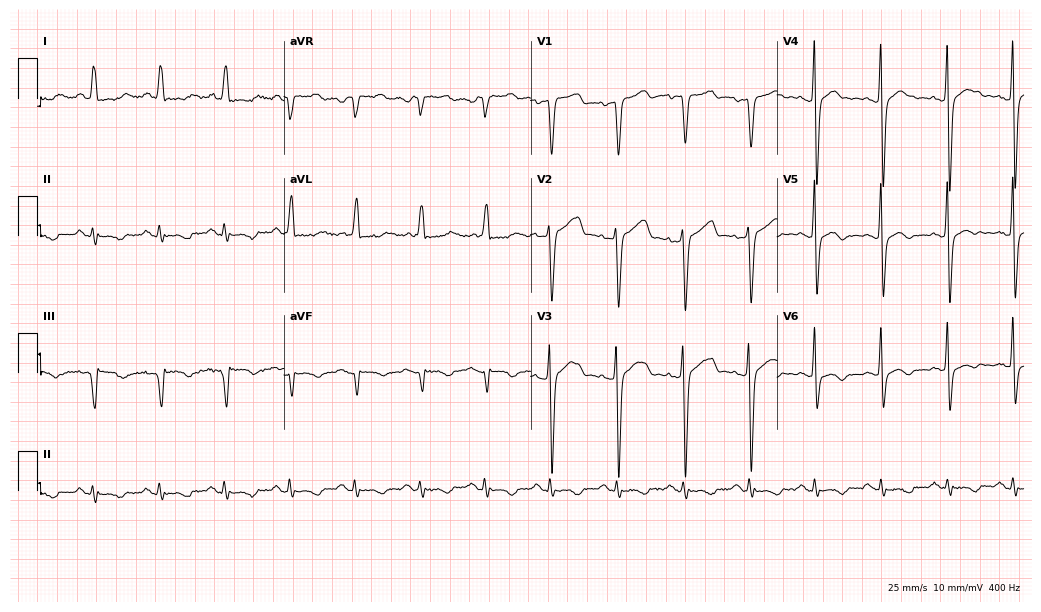
Electrocardiogram, a 56-year-old female. Of the six screened findings (first-degree AV block, right bundle branch block, left bundle branch block, sinus bradycardia, atrial fibrillation, sinus tachycardia), none is recorded. Only these six findings were labelled.